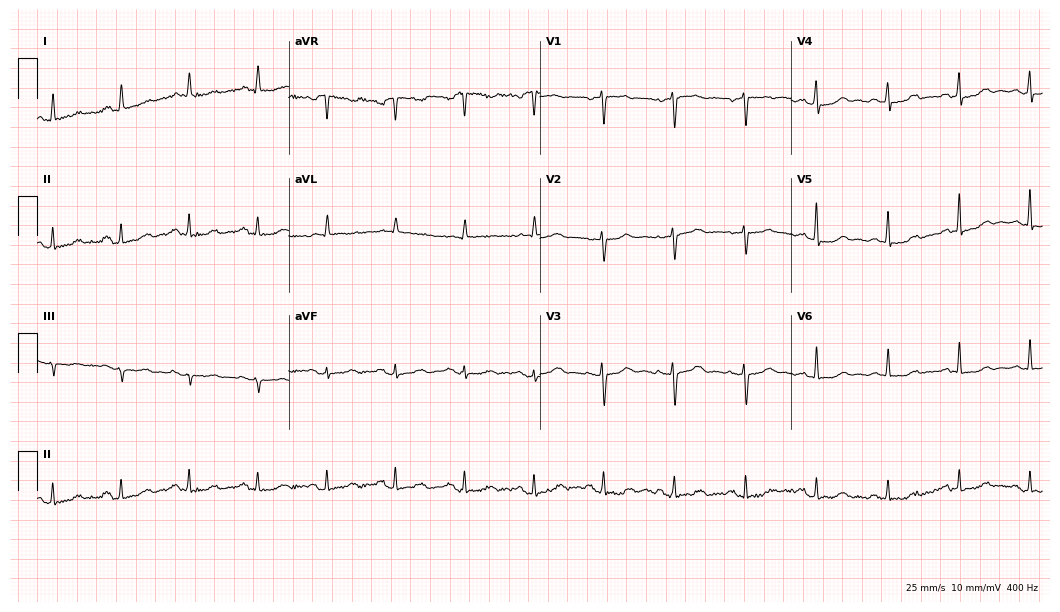
Resting 12-lead electrocardiogram (10.2-second recording at 400 Hz). Patient: a 66-year-old female. None of these six findings is recorded: first-degree AV block, right bundle branch block (RBBB), left bundle branch block (LBBB), sinus bradycardia, atrial fibrillation (AF), sinus tachycardia.